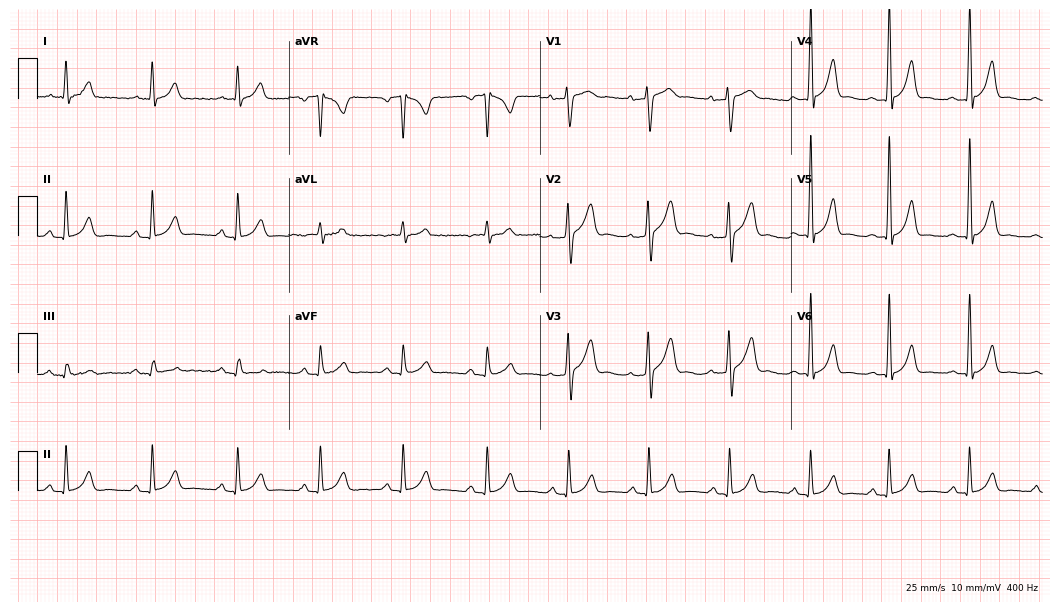
Resting 12-lead electrocardiogram. Patient: a 25-year-old male. None of these six findings is recorded: first-degree AV block, right bundle branch block, left bundle branch block, sinus bradycardia, atrial fibrillation, sinus tachycardia.